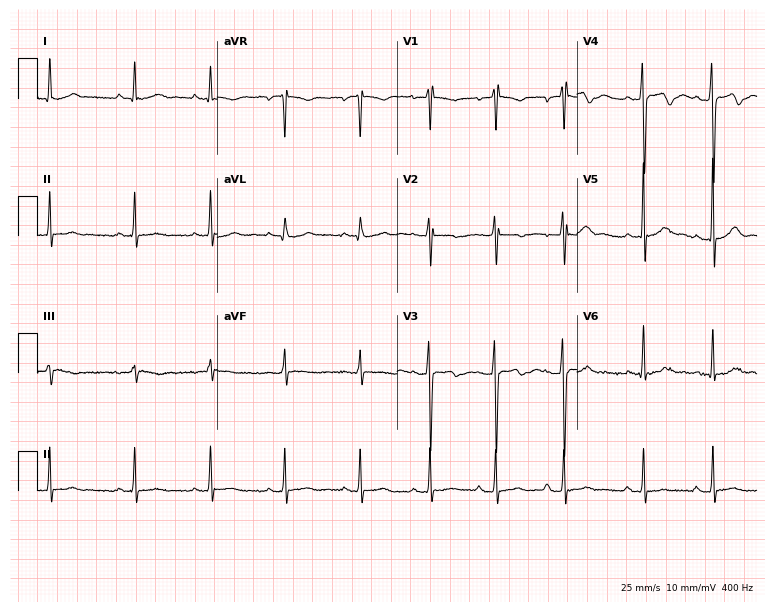
ECG — a female patient, 17 years old. Screened for six findings — first-degree AV block, right bundle branch block, left bundle branch block, sinus bradycardia, atrial fibrillation, sinus tachycardia — none is recorded.